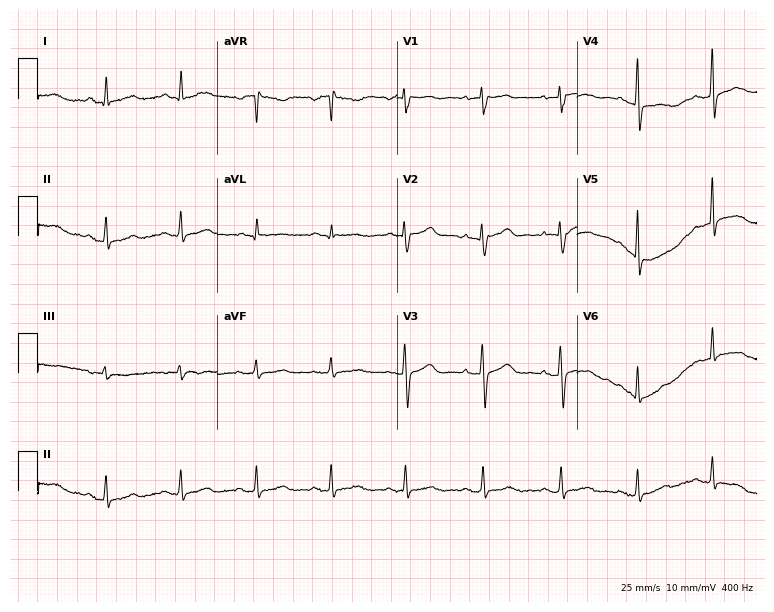
Standard 12-lead ECG recorded from a 56-year-old woman (7.3-second recording at 400 Hz). None of these six findings is recorded: first-degree AV block, right bundle branch block (RBBB), left bundle branch block (LBBB), sinus bradycardia, atrial fibrillation (AF), sinus tachycardia.